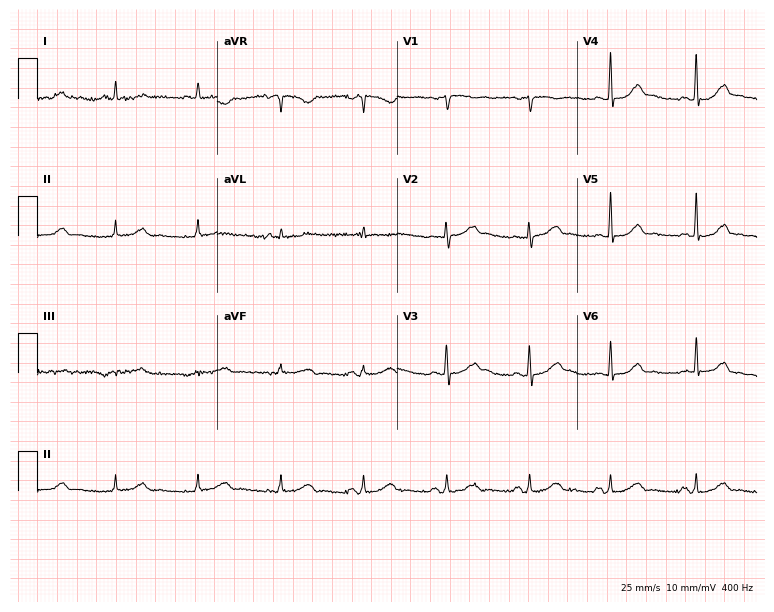
Electrocardiogram, a female, 55 years old. Overall reading on record: normal ECG.